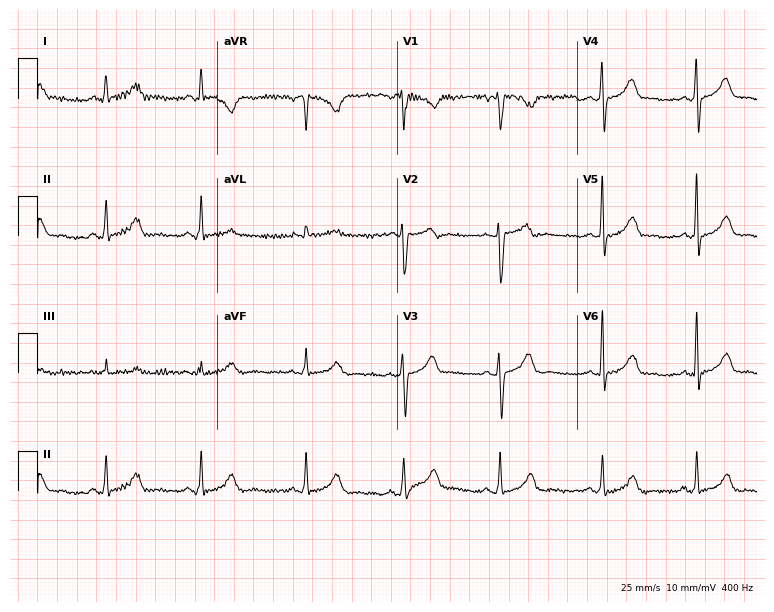
12-lead ECG (7.3-second recording at 400 Hz) from a female patient, 40 years old. Screened for six findings — first-degree AV block, right bundle branch block, left bundle branch block, sinus bradycardia, atrial fibrillation, sinus tachycardia — none is recorded. Findings outside these six are not listed.